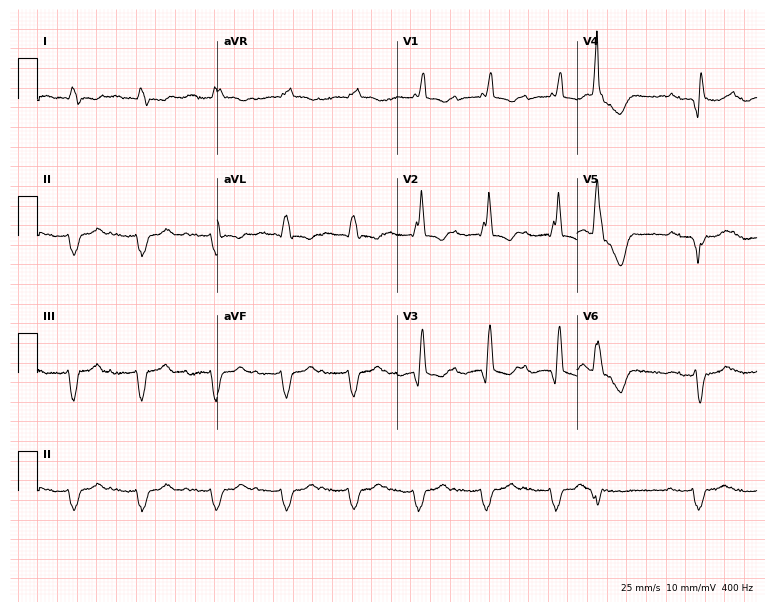
Standard 12-lead ECG recorded from a 79-year-old male (7.3-second recording at 400 Hz). The tracing shows first-degree AV block, right bundle branch block.